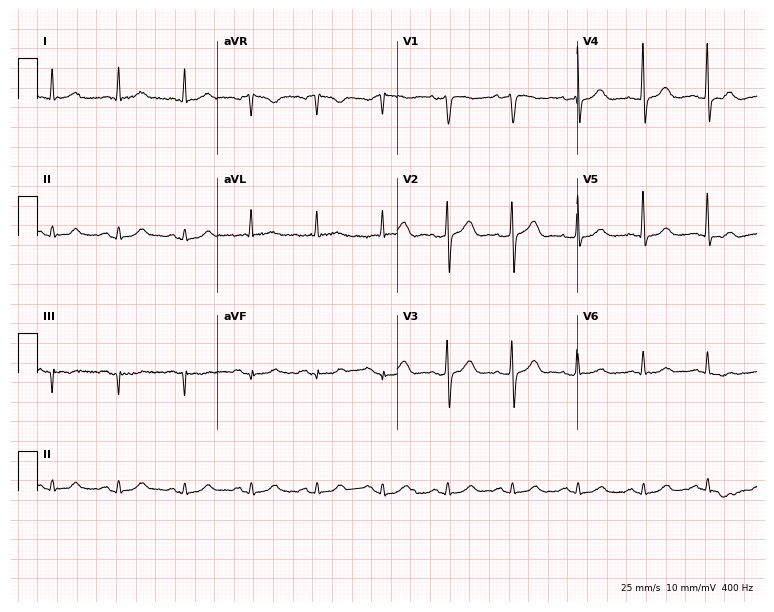
Standard 12-lead ECG recorded from a male, 80 years old. Read as a normal ECG.